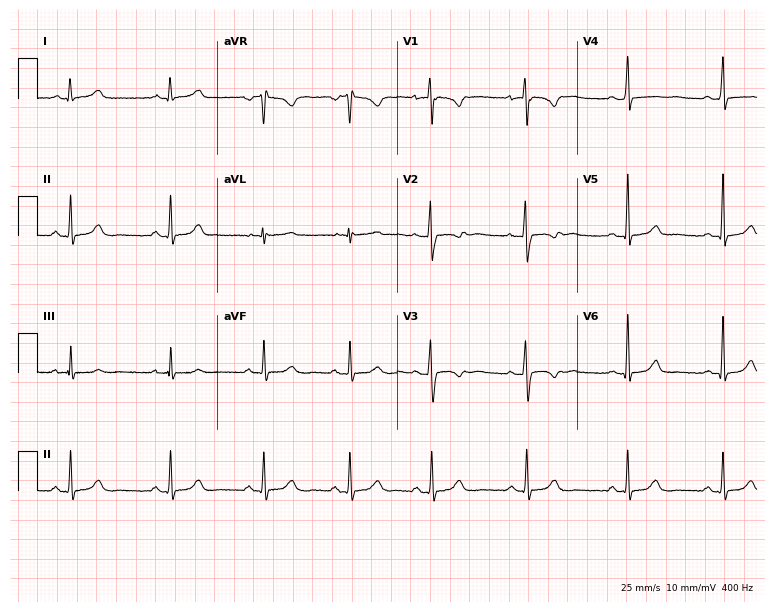
Resting 12-lead electrocardiogram. Patient: a female, 21 years old. None of these six findings is recorded: first-degree AV block, right bundle branch block, left bundle branch block, sinus bradycardia, atrial fibrillation, sinus tachycardia.